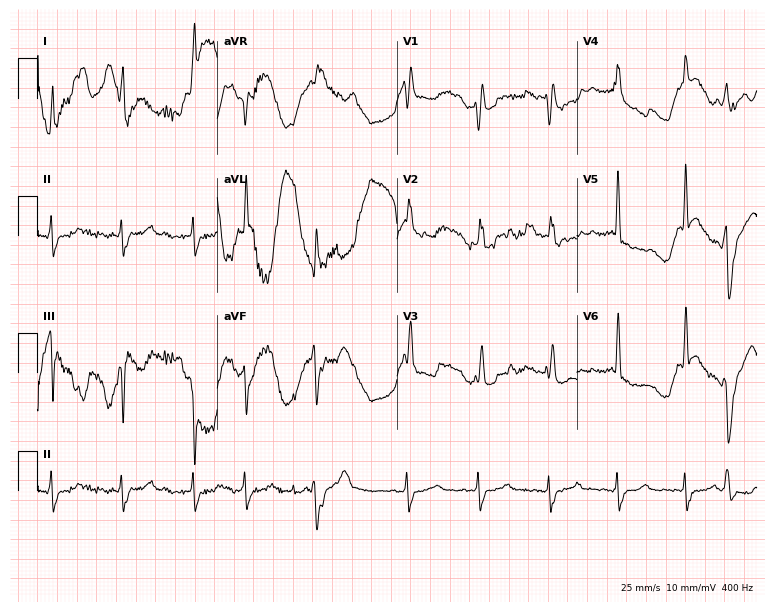
Resting 12-lead electrocardiogram. Patient: a female, 31 years old. The tracing shows right bundle branch block, atrial fibrillation.